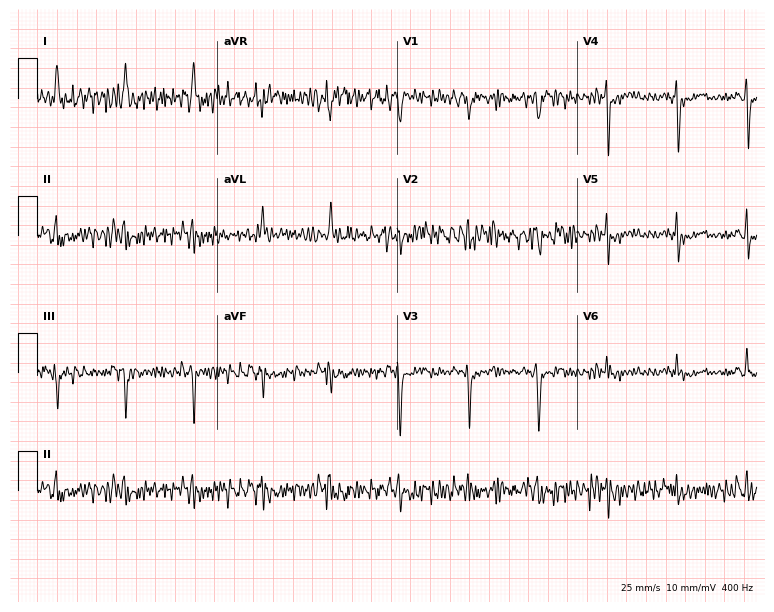
ECG — a 65-year-old female patient. Screened for six findings — first-degree AV block, right bundle branch block, left bundle branch block, sinus bradycardia, atrial fibrillation, sinus tachycardia — none is recorded. Other findings, if any, are not listed.